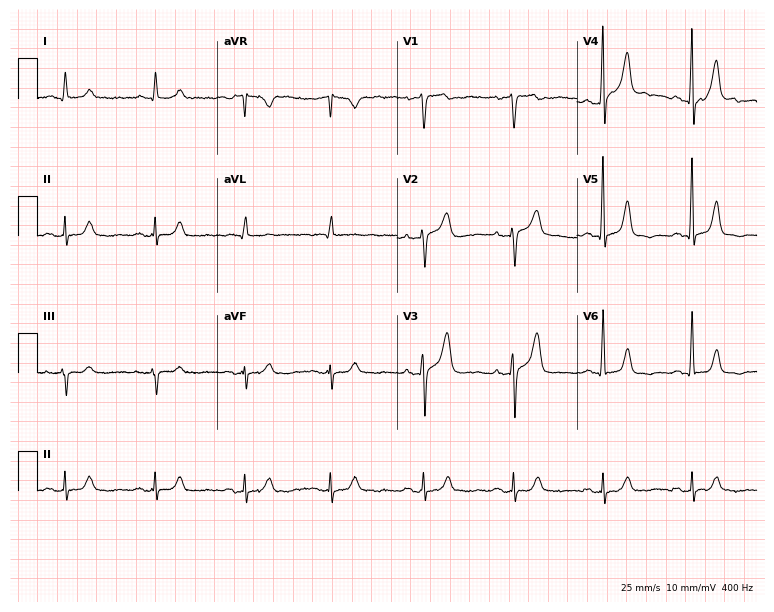
12-lead ECG from an 81-year-old man. Screened for six findings — first-degree AV block, right bundle branch block (RBBB), left bundle branch block (LBBB), sinus bradycardia, atrial fibrillation (AF), sinus tachycardia — none is recorded.